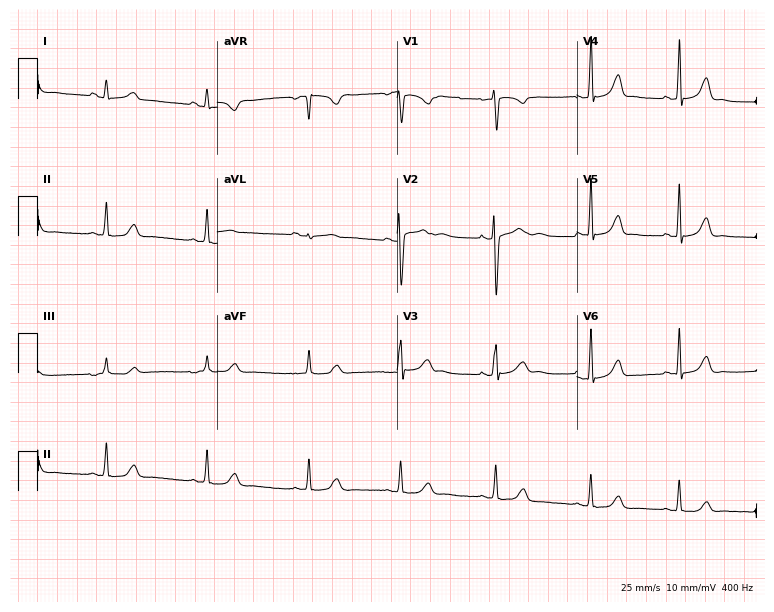
Resting 12-lead electrocardiogram (7.3-second recording at 400 Hz). Patient: a 23-year-old female. None of these six findings is recorded: first-degree AV block, right bundle branch block, left bundle branch block, sinus bradycardia, atrial fibrillation, sinus tachycardia. Only these six findings were labelled.